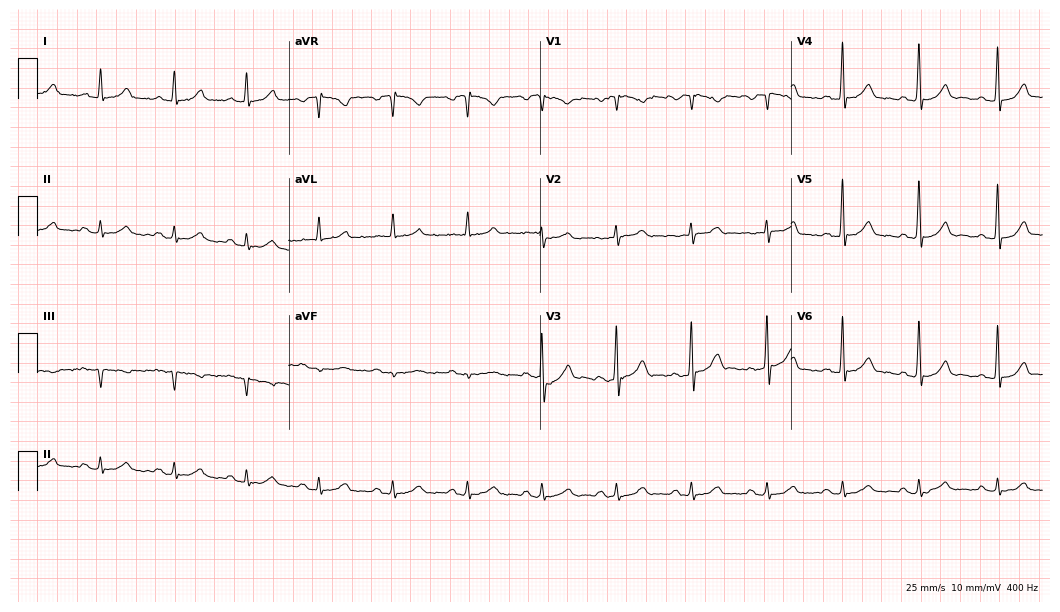
12-lead ECG from a male patient, 61 years old (10.2-second recording at 400 Hz). Recorded interpretation: within normal limits.